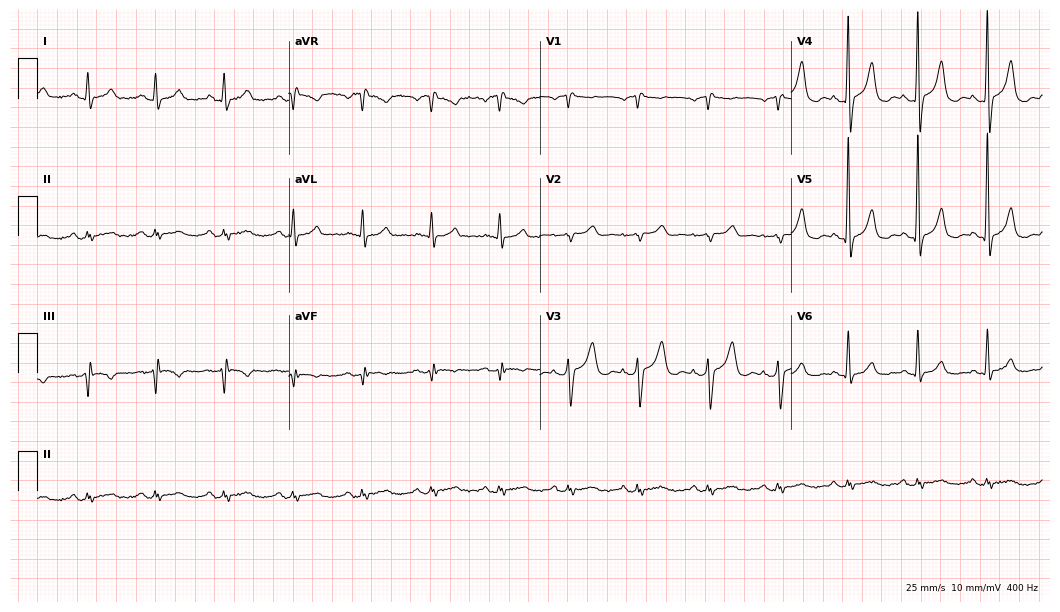
Standard 12-lead ECG recorded from a 60-year-old male patient. None of these six findings is recorded: first-degree AV block, right bundle branch block, left bundle branch block, sinus bradycardia, atrial fibrillation, sinus tachycardia.